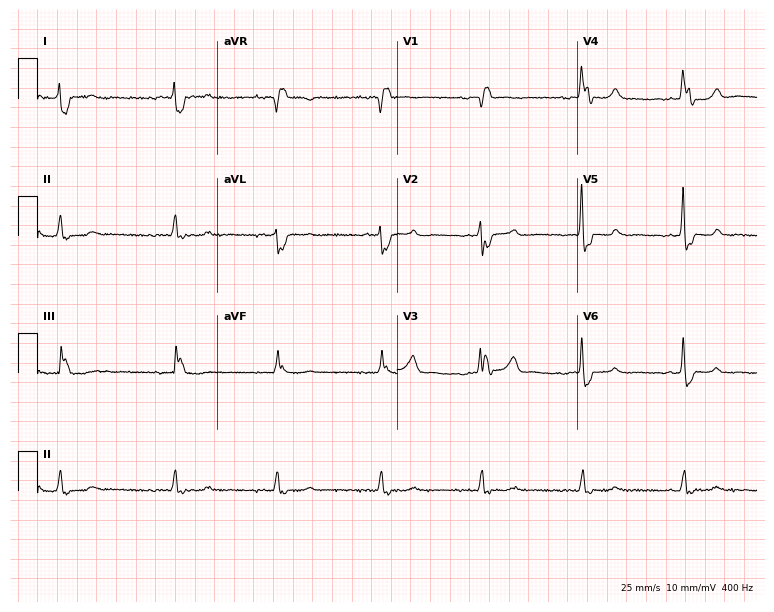
12-lead ECG (7.3-second recording at 400 Hz) from a male, 74 years old. Findings include right bundle branch block.